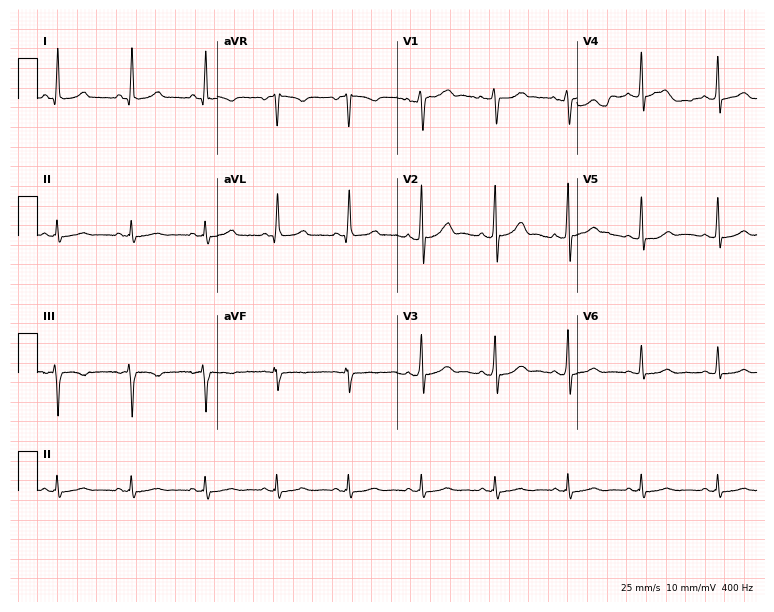
Electrocardiogram, a 35-year-old woman. Overall reading on record: normal ECG.